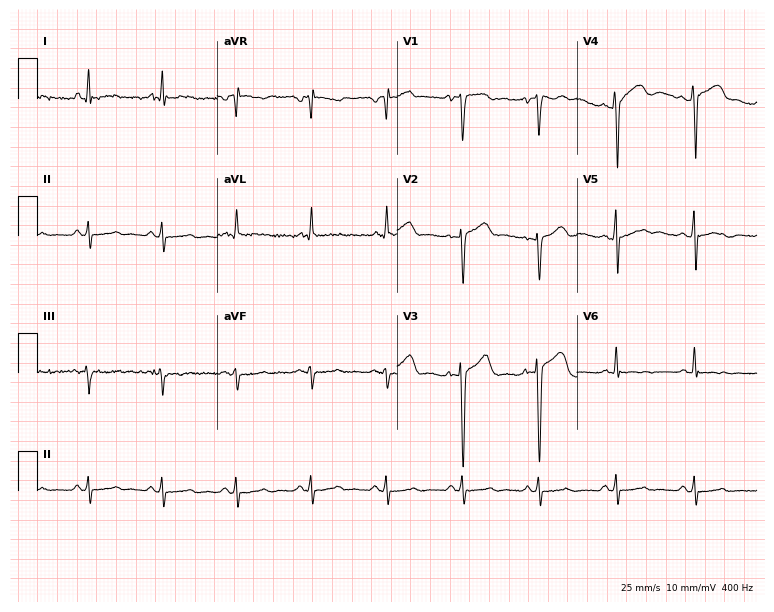
ECG (7.3-second recording at 400 Hz) — a 41-year-old male patient. Screened for six findings — first-degree AV block, right bundle branch block, left bundle branch block, sinus bradycardia, atrial fibrillation, sinus tachycardia — none is recorded. Only these six findings were labelled.